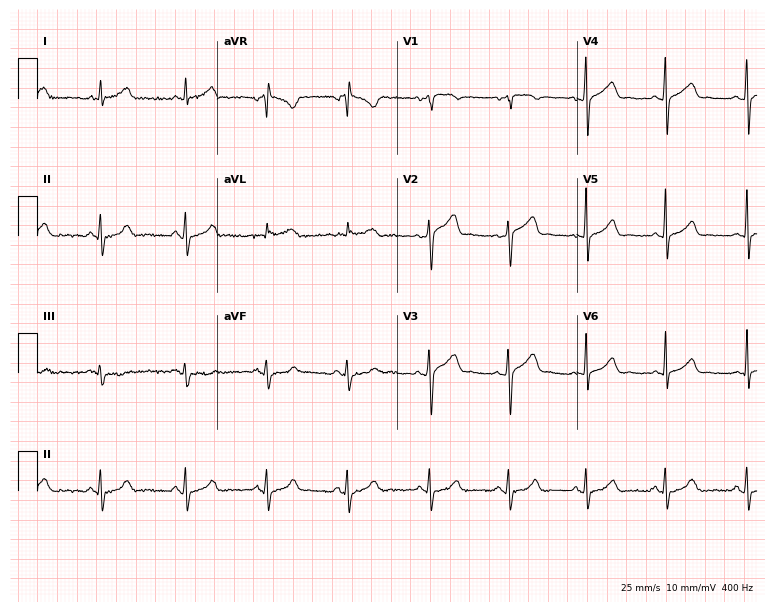
Electrocardiogram (7.3-second recording at 400 Hz), a 36-year-old man. Of the six screened findings (first-degree AV block, right bundle branch block, left bundle branch block, sinus bradycardia, atrial fibrillation, sinus tachycardia), none is recorded. Other findings, if any, are not listed.